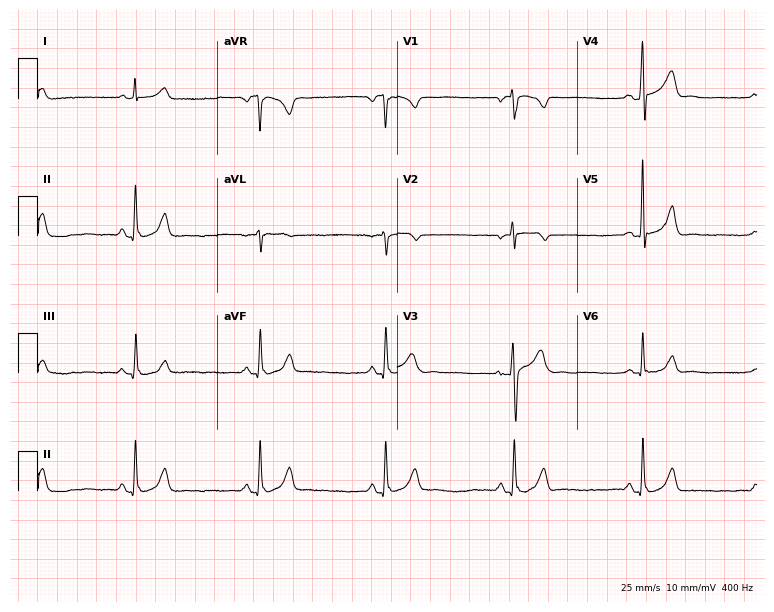
12-lead ECG from a male, 48 years old. Shows sinus bradycardia (a sinus rate of 50 beats per minute or less).